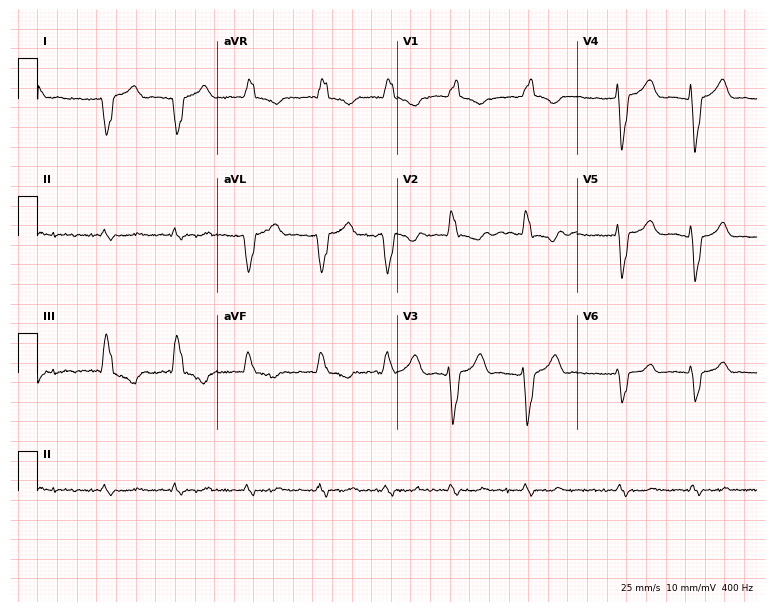
12-lead ECG from a male, 84 years old. Findings include right bundle branch block (RBBB), atrial fibrillation (AF).